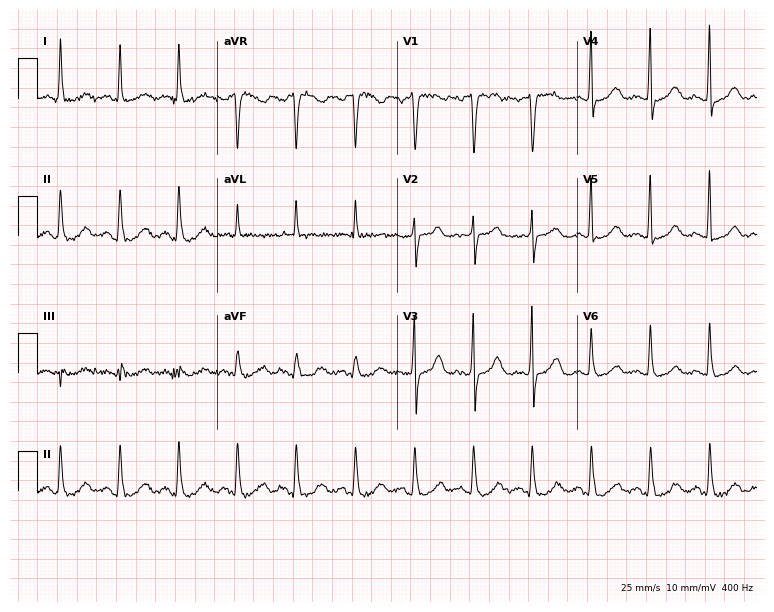
12-lead ECG from a 61-year-old female patient. Recorded interpretation: within normal limits.